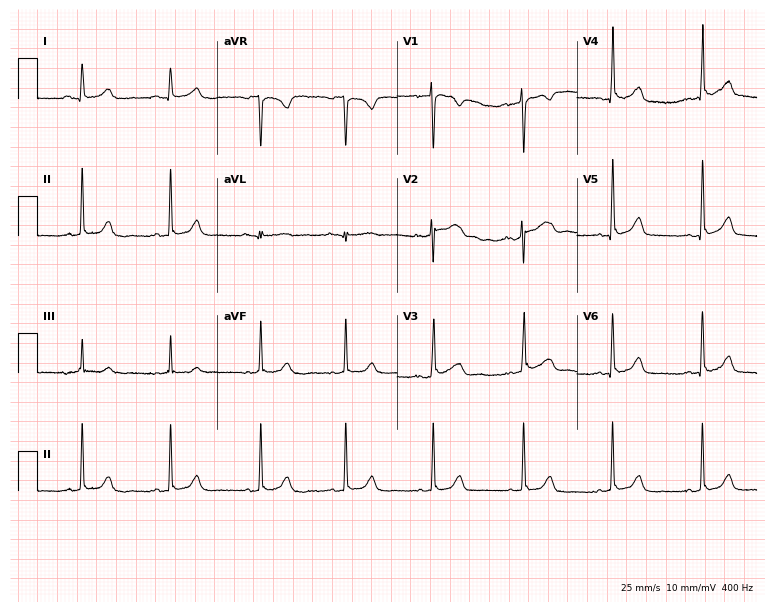
Resting 12-lead electrocardiogram. Patient: a 35-year-old female. None of these six findings is recorded: first-degree AV block, right bundle branch block (RBBB), left bundle branch block (LBBB), sinus bradycardia, atrial fibrillation (AF), sinus tachycardia. Other findings, if any, are not listed.